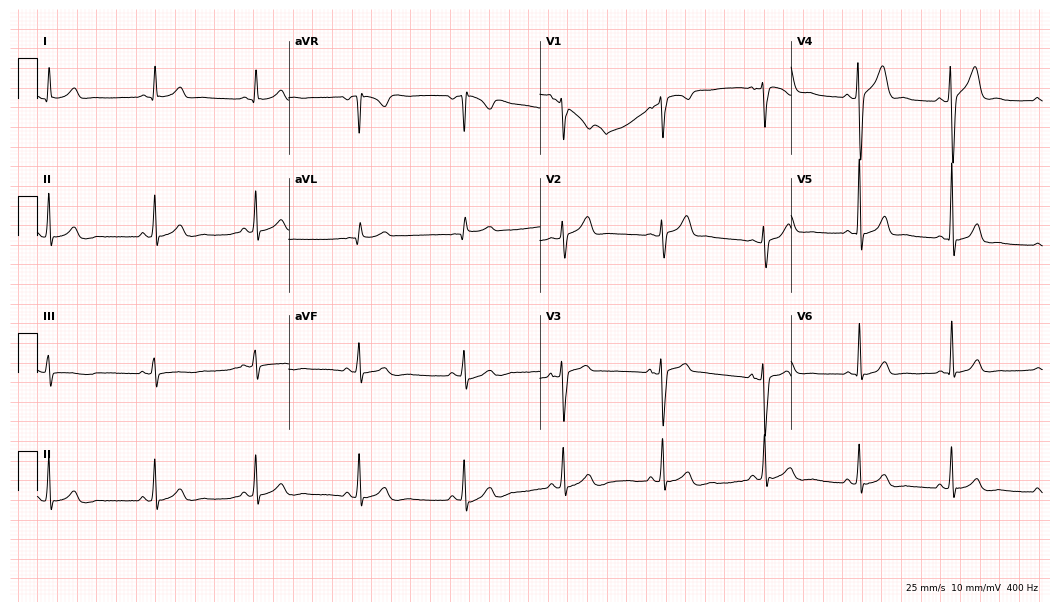
ECG (10.2-second recording at 400 Hz) — a 30-year-old woman. Labelled as a normal ECG.